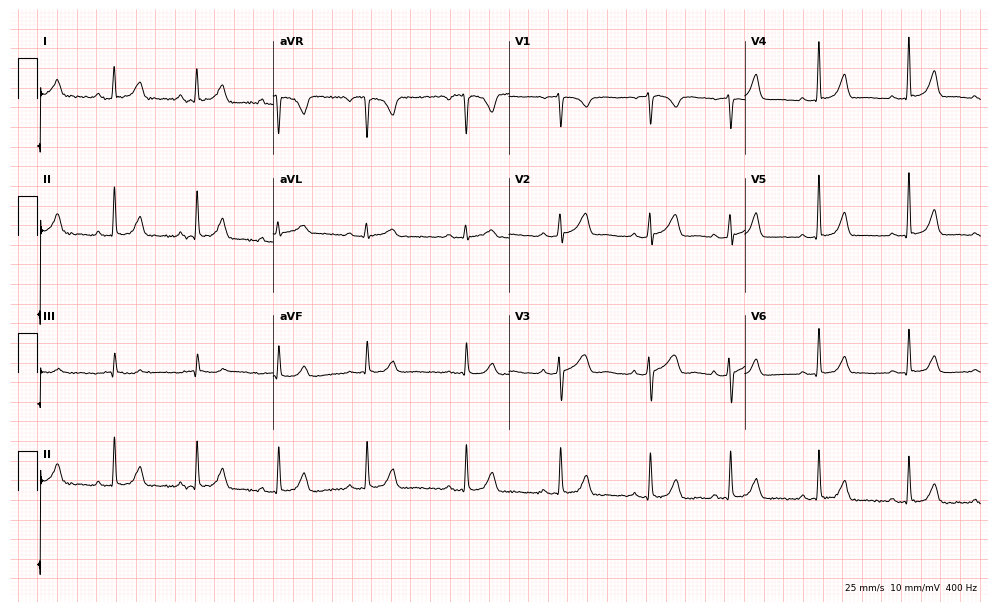
Resting 12-lead electrocardiogram (9.6-second recording at 400 Hz). Patient: a woman, 19 years old. Read as a normal ECG.